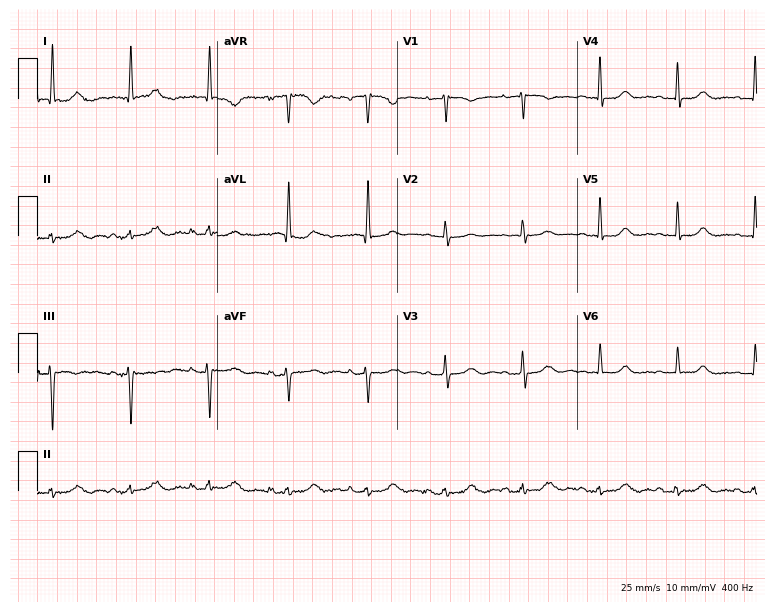
Resting 12-lead electrocardiogram. Patient: an 82-year-old male. None of these six findings is recorded: first-degree AV block, right bundle branch block, left bundle branch block, sinus bradycardia, atrial fibrillation, sinus tachycardia. Findings outside these six are not listed.